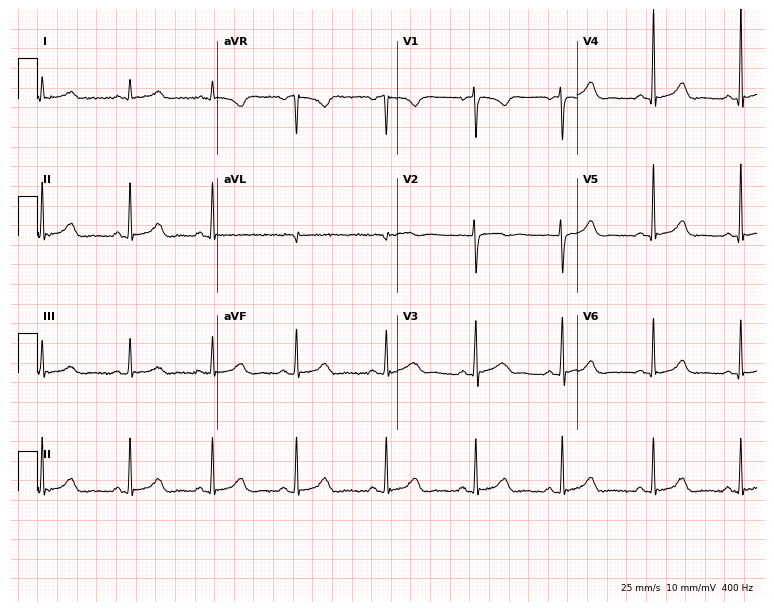
Electrocardiogram (7.3-second recording at 400 Hz), a 30-year-old woman. Overall reading on record: normal ECG.